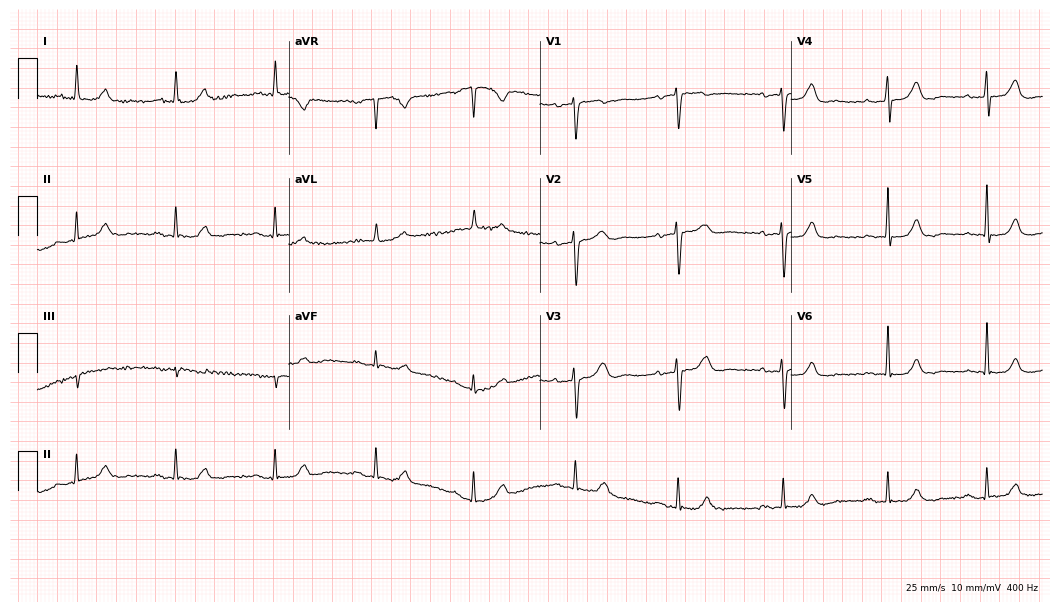
Standard 12-lead ECG recorded from an 85-year-old female patient. Read as a normal ECG.